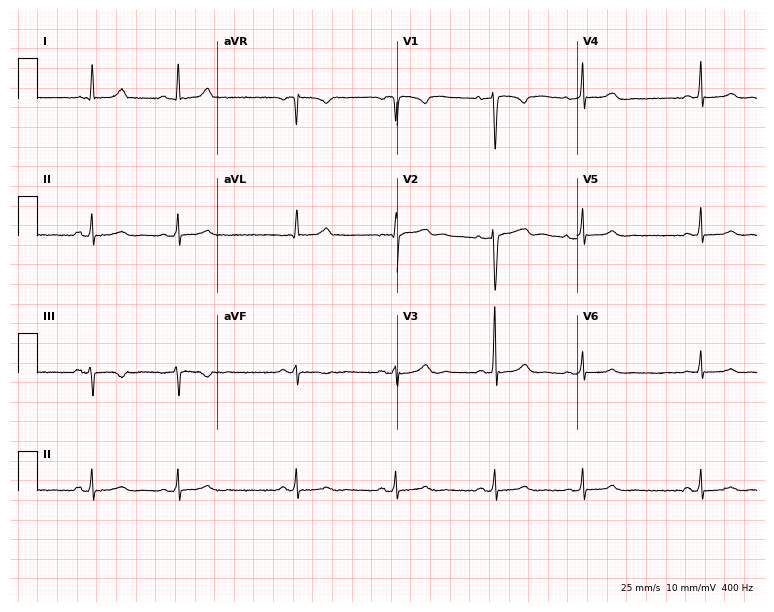
Electrocardiogram (7.3-second recording at 400 Hz), a woman, 45 years old. Of the six screened findings (first-degree AV block, right bundle branch block, left bundle branch block, sinus bradycardia, atrial fibrillation, sinus tachycardia), none is recorded.